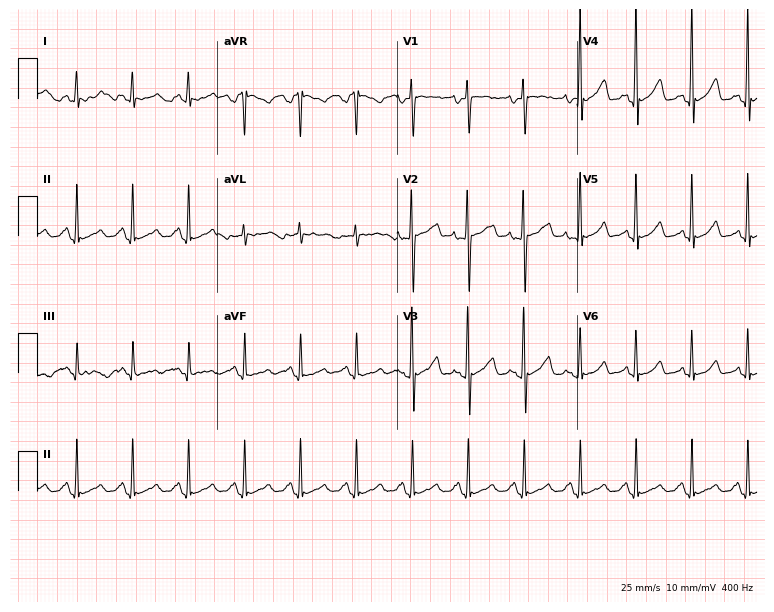
Resting 12-lead electrocardiogram. Patient: a female, 34 years old. The tracing shows sinus tachycardia (a sinus rate of 100 beats per minute or more).